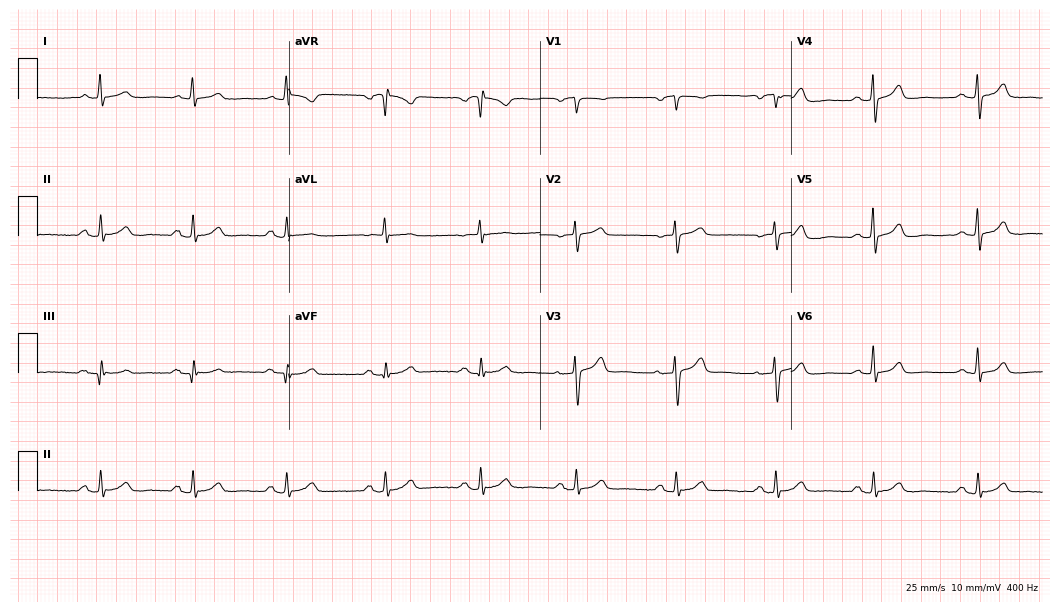
Electrocardiogram, a woman, 61 years old. Overall reading on record: normal ECG.